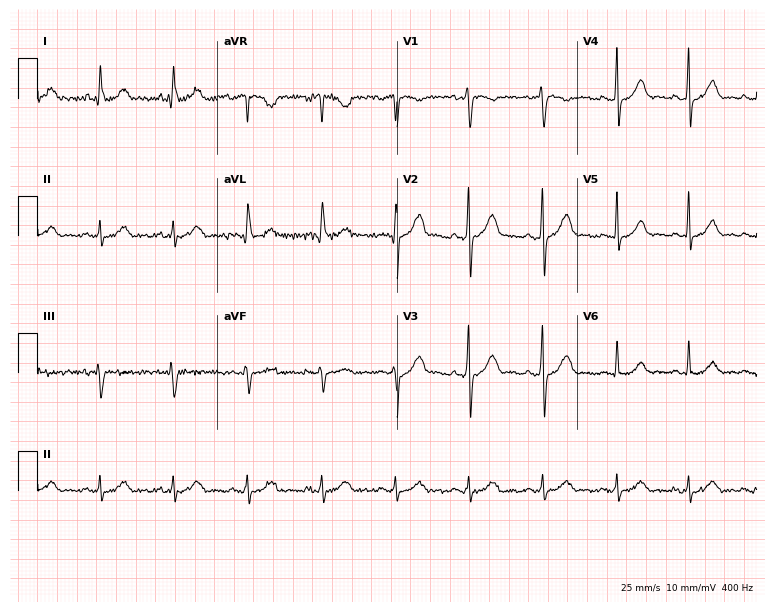
ECG (7.3-second recording at 400 Hz) — a male, 55 years old. Labelled as a normal ECG.